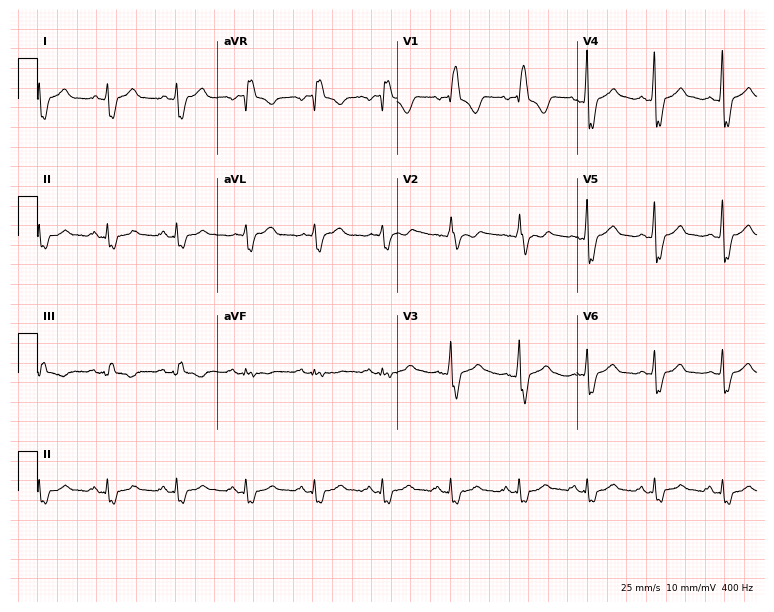
12-lead ECG (7.3-second recording at 400 Hz) from a male, 51 years old. Findings include right bundle branch block.